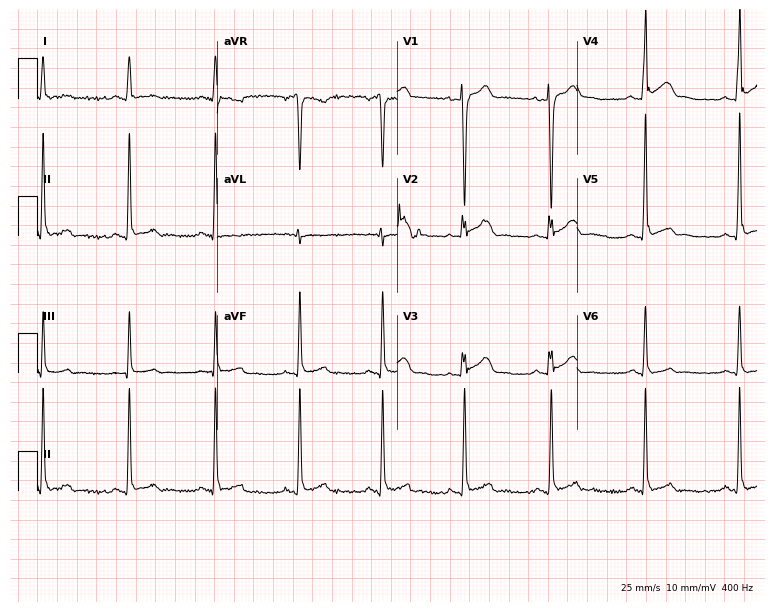
12-lead ECG from an 18-year-old man (7.3-second recording at 400 Hz). No first-degree AV block, right bundle branch block (RBBB), left bundle branch block (LBBB), sinus bradycardia, atrial fibrillation (AF) or sinus tachycardia recorded for this tracing. Findings outside these six are not listed.